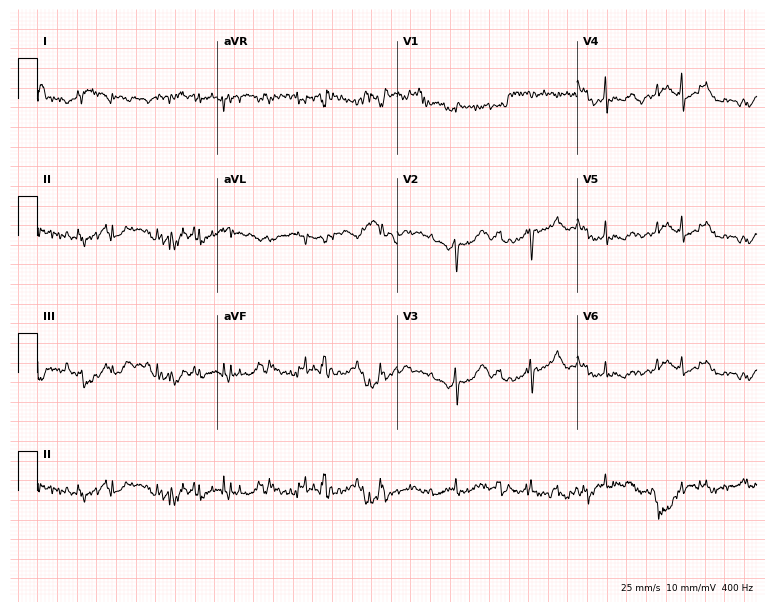
12-lead ECG from a 24-year-old woman. Screened for six findings — first-degree AV block, right bundle branch block, left bundle branch block, sinus bradycardia, atrial fibrillation, sinus tachycardia — none is recorded.